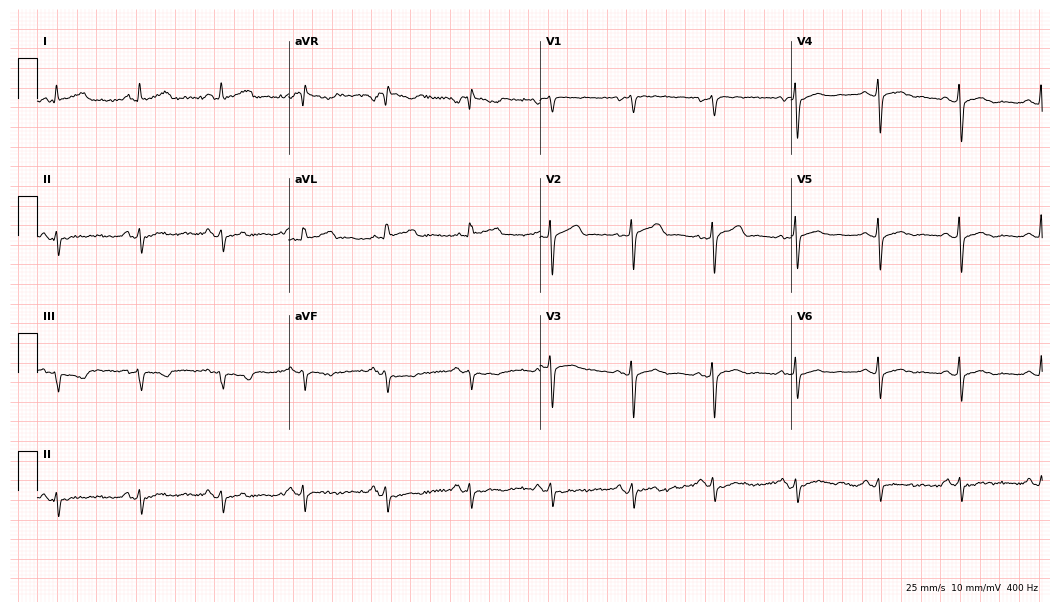
Electrocardiogram (10.2-second recording at 400 Hz), a 56-year-old female. Of the six screened findings (first-degree AV block, right bundle branch block (RBBB), left bundle branch block (LBBB), sinus bradycardia, atrial fibrillation (AF), sinus tachycardia), none is recorded.